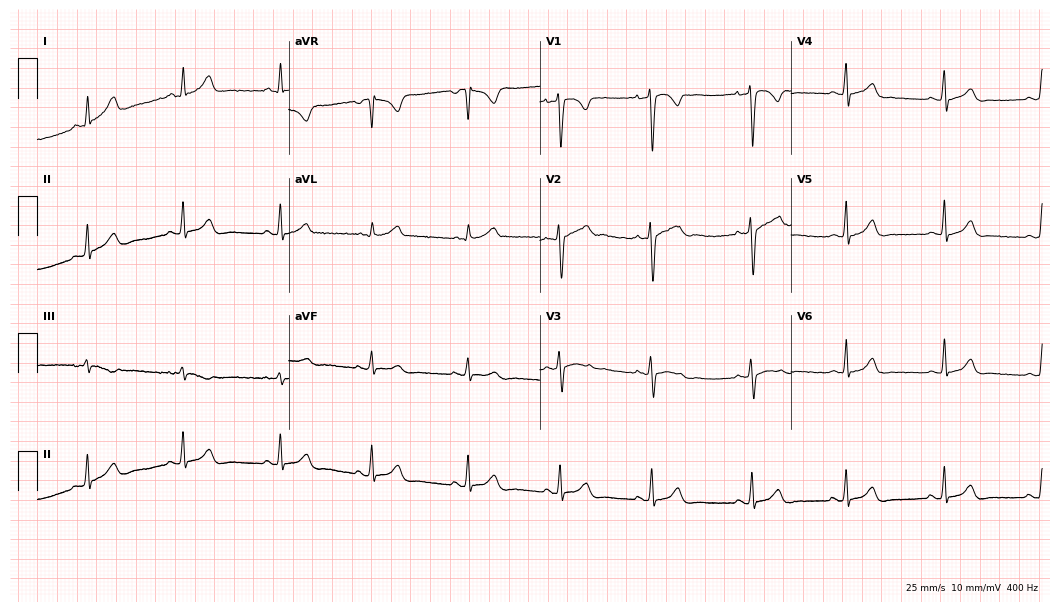
12-lead ECG from a 22-year-old woman (10.2-second recording at 400 Hz). No first-degree AV block, right bundle branch block, left bundle branch block, sinus bradycardia, atrial fibrillation or sinus tachycardia recorded for this tracing.